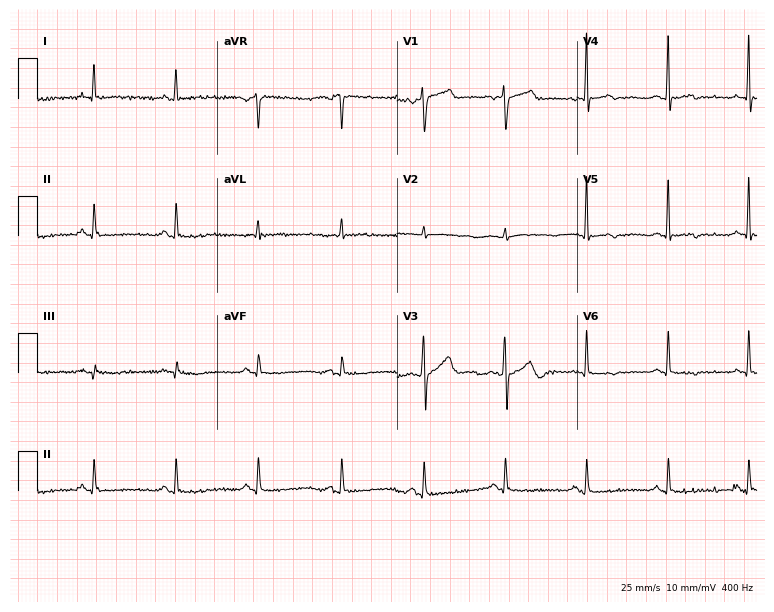
Standard 12-lead ECG recorded from a 54-year-old male. None of these six findings is recorded: first-degree AV block, right bundle branch block, left bundle branch block, sinus bradycardia, atrial fibrillation, sinus tachycardia.